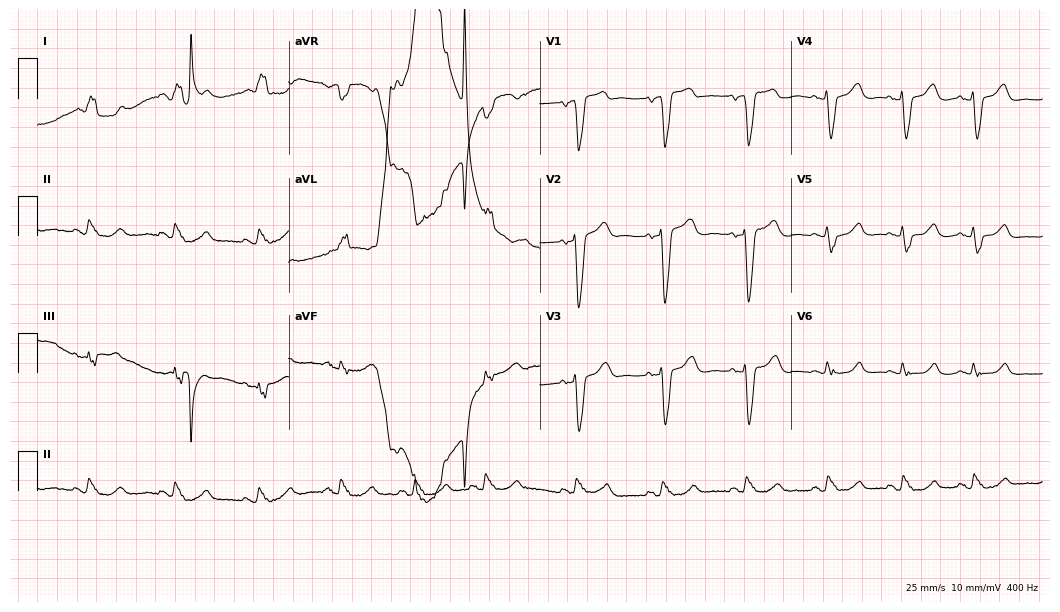
Resting 12-lead electrocardiogram (10.2-second recording at 400 Hz). Patient: an 86-year-old female. The tracing shows left bundle branch block.